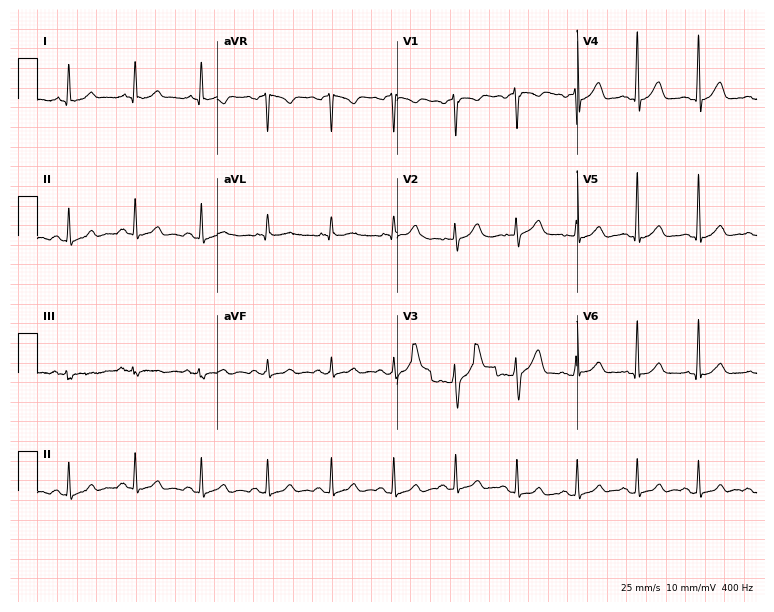
Resting 12-lead electrocardiogram (7.3-second recording at 400 Hz). Patient: a 46-year-old male. Read as a normal ECG.